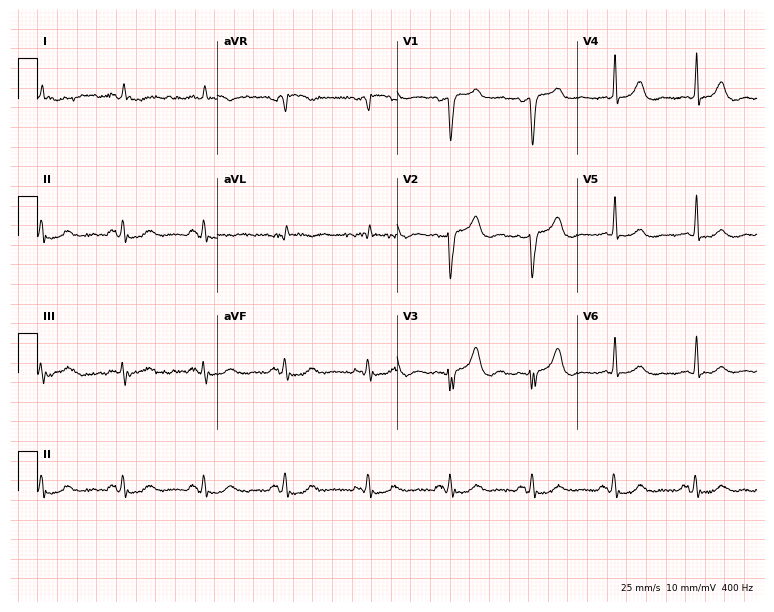
Electrocardiogram (7.3-second recording at 400 Hz), an 82-year-old male. Of the six screened findings (first-degree AV block, right bundle branch block, left bundle branch block, sinus bradycardia, atrial fibrillation, sinus tachycardia), none is recorded. Other findings, if any, are not listed.